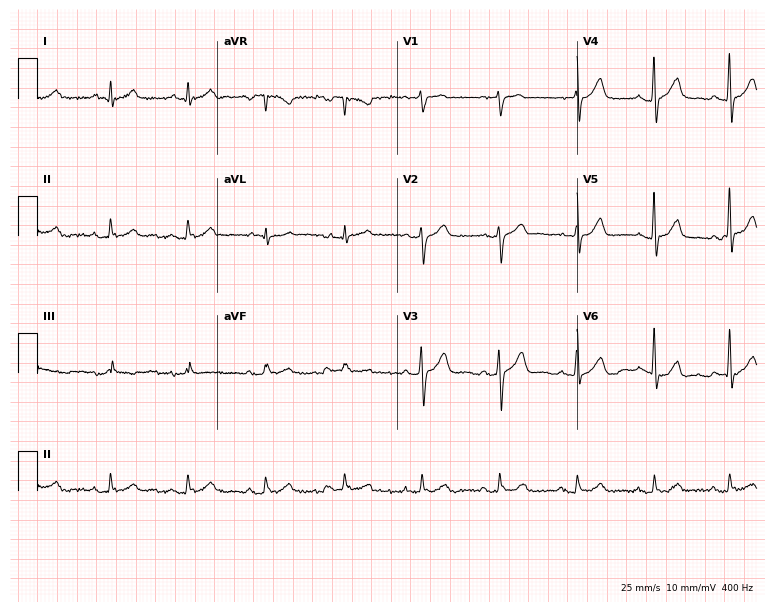
ECG (7.3-second recording at 400 Hz) — a 78-year-old male. Screened for six findings — first-degree AV block, right bundle branch block (RBBB), left bundle branch block (LBBB), sinus bradycardia, atrial fibrillation (AF), sinus tachycardia — none is recorded. Only these six findings were labelled.